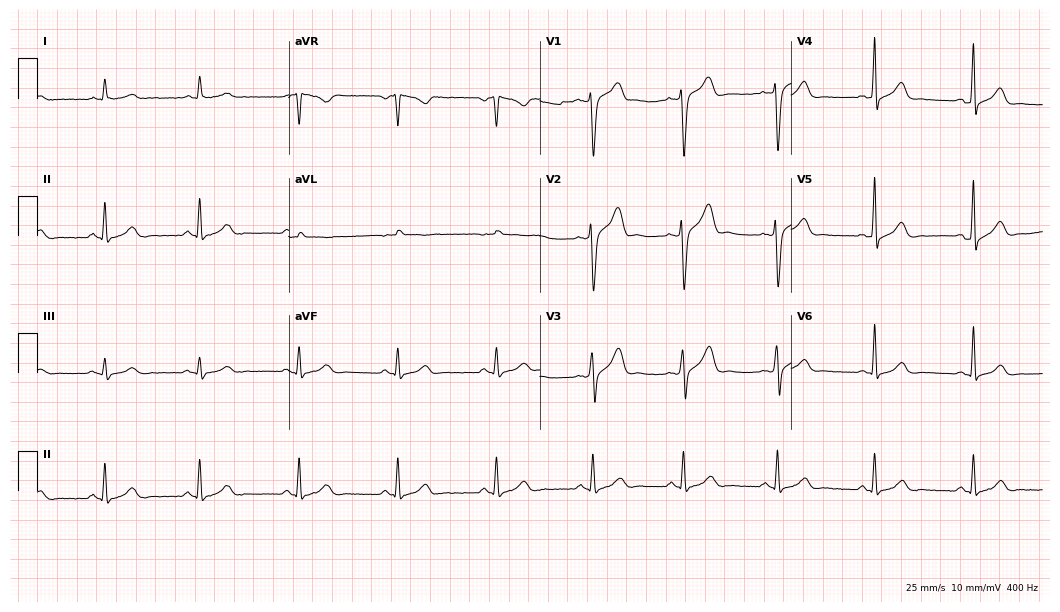
Electrocardiogram, a male, 45 years old. Overall reading on record: normal ECG.